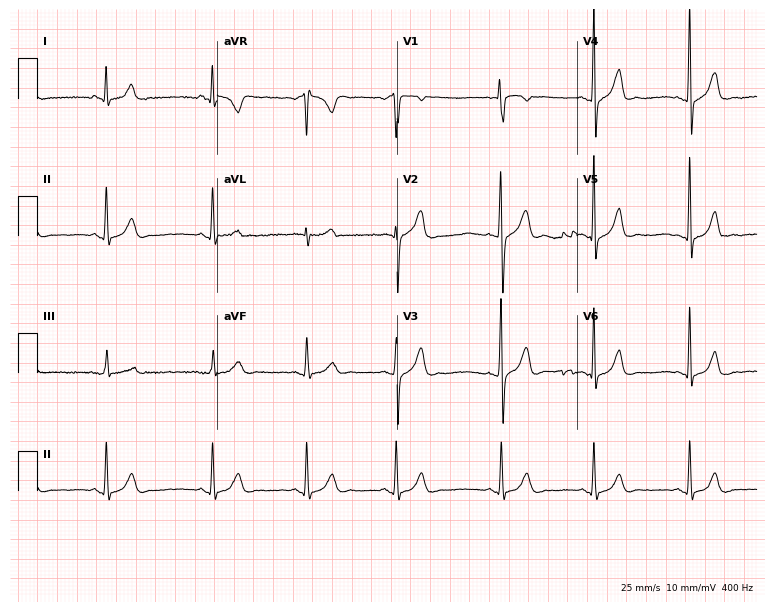
12-lead ECG from a woman, 17 years old (7.3-second recording at 400 Hz). Recorded interpretation: within normal limits.